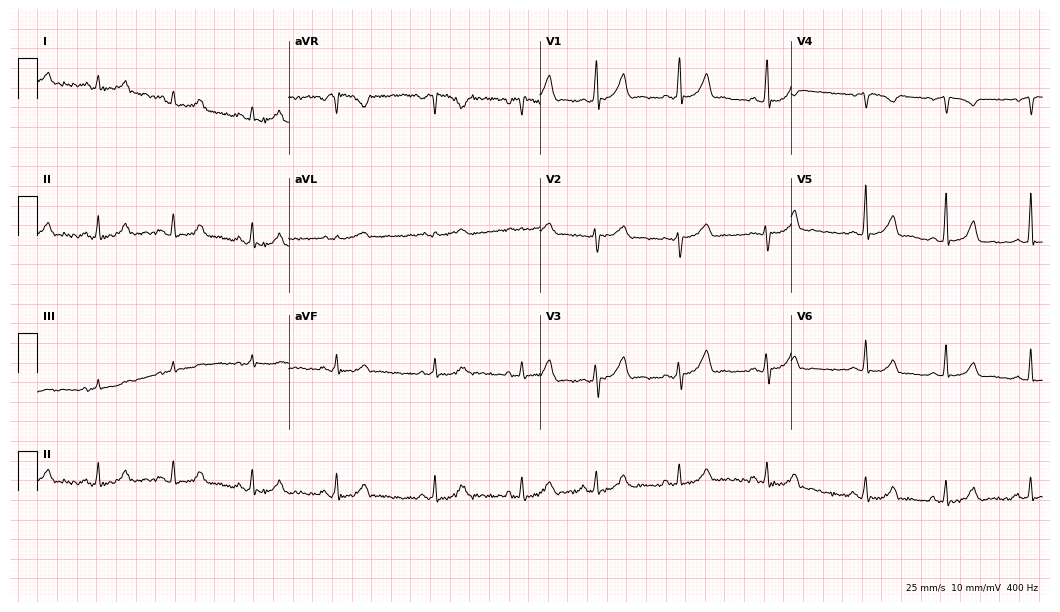
Resting 12-lead electrocardiogram. Patient: a woman, 23 years old. None of these six findings is recorded: first-degree AV block, right bundle branch block, left bundle branch block, sinus bradycardia, atrial fibrillation, sinus tachycardia.